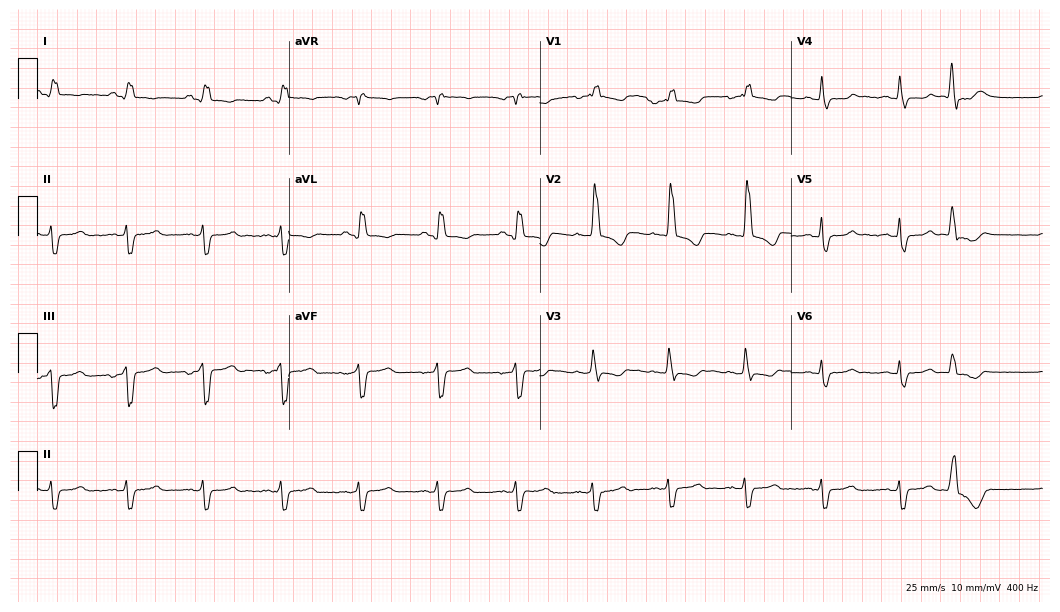
Electrocardiogram (10.2-second recording at 400 Hz), a male, 65 years old. Interpretation includes right bundle branch block.